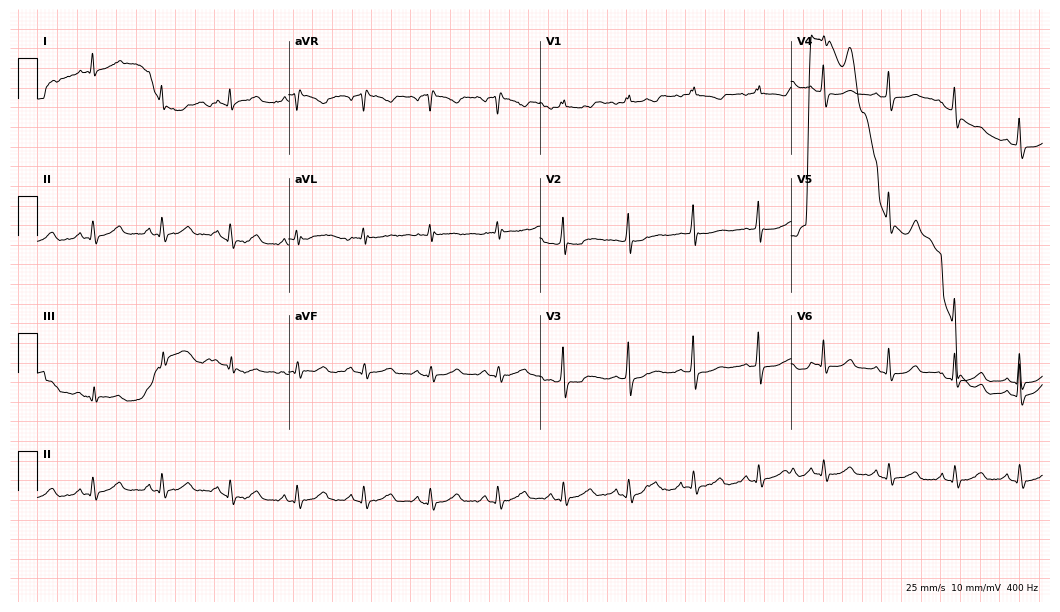
ECG — a woman, 77 years old. Screened for six findings — first-degree AV block, right bundle branch block, left bundle branch block, sinus bradycardia, atrial fibrillation, sinus tachycardia — none is recorded. Only these six findings were labelled.